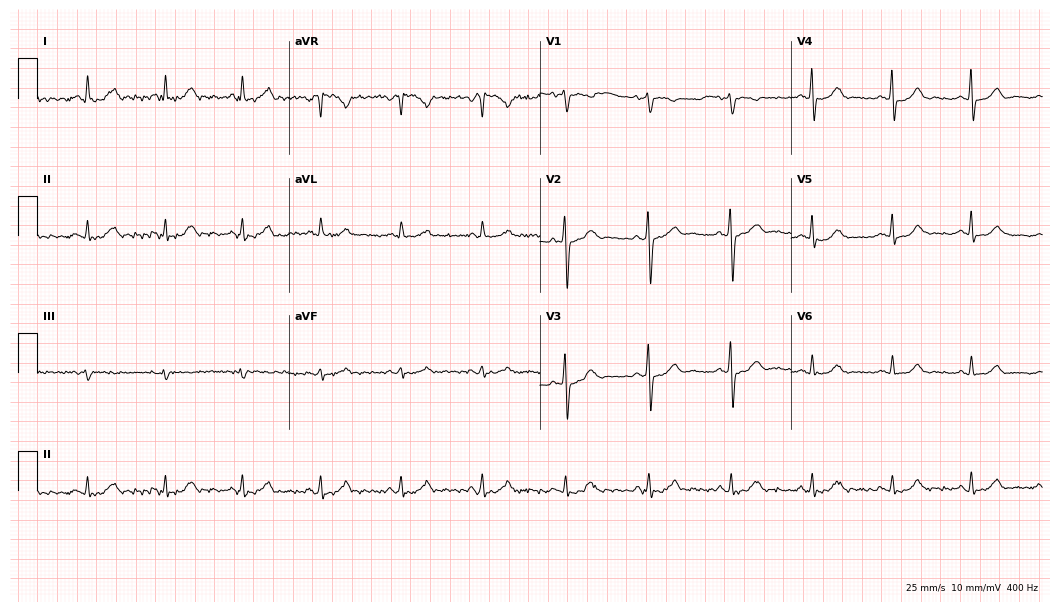
12-lead ECG from a female, 47 years old. Recorded interpretation: within normal limits.